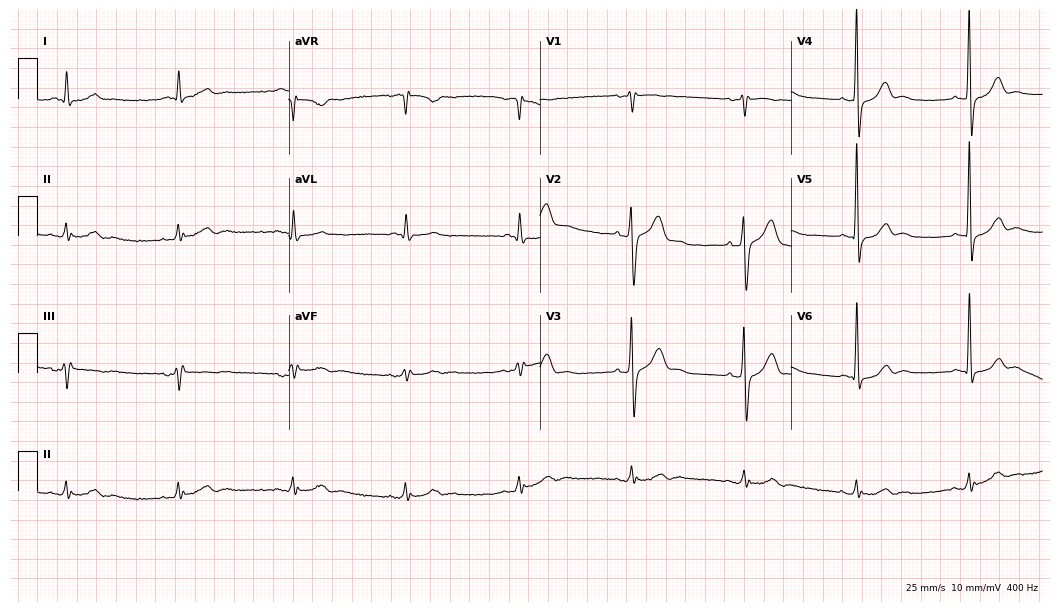
Standard 12-lead ECG recorded from a 67-year-old male. None of these six findings is recorded: first-degree AV block, right bundle branch block, left bundle branch block, sinus bradycardia, atrial fibrillation, sinus tachycardia.